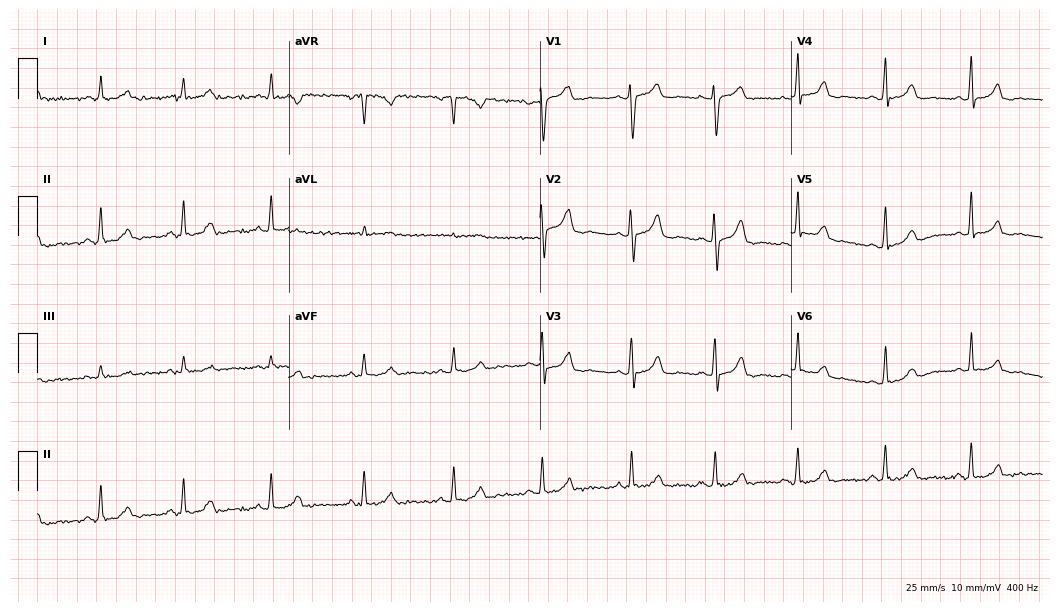
Resting 12-lead electrocardiogram (10.2-second recording at 400 Hz). Patient: a 46-year-old man. Read as a normal ECG.